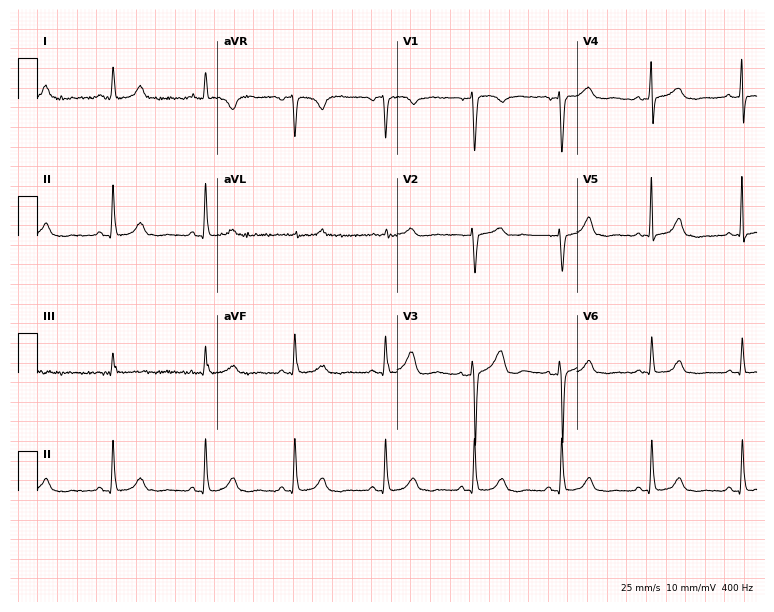
Electrocardiogram, a 36-year-old female patient. Of the six screened findings (first-degree AV block, right bundle branch block, left bundle branch block, sinus bradycardia, atrial fibrillation, sinus tachycardia), none is recorded. Only these six findings were labelled.